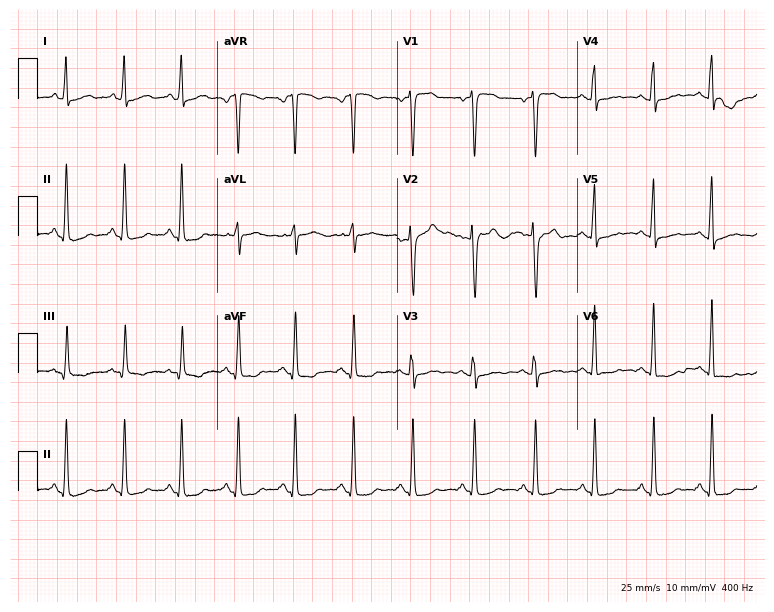
12-lead ECG from a female patient, 45 years old (7.3-second recording at 400 Hz). No first-degree AV block, right bundle branch block, left bundle branch block, sinus bradycardia, atrial fibrillation or sinus tachycardia recorded for this tracing.